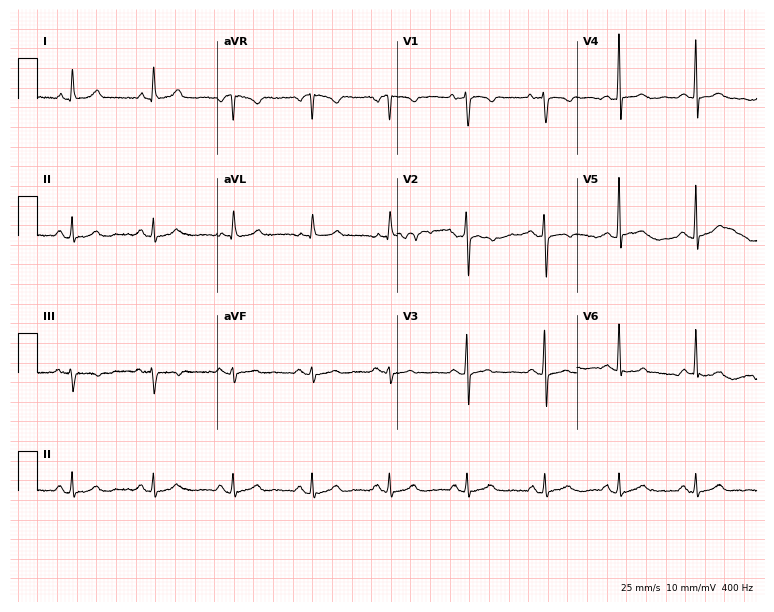
Standard 12-lead ECG recorded from a 55-year-old female patient (7.3-second recording at 400 Hz). Read as a normal ECG.